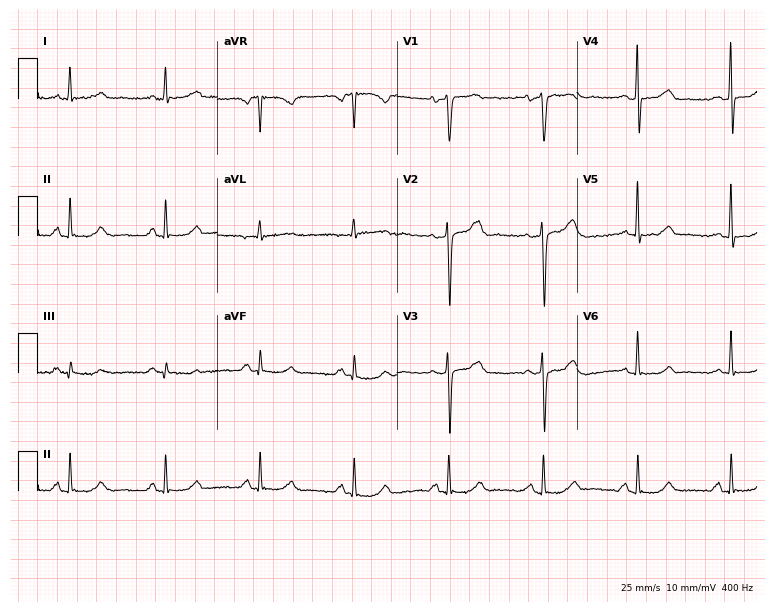
12-lead ECG from a woman, 54 years old (7.3-second recording at 400 Hz). No first-degree AV block, right bundle branch block, left bundle branch block, sinus bradycardia, atrial fibrillation or sinus tachycardia recorded for this tracing.